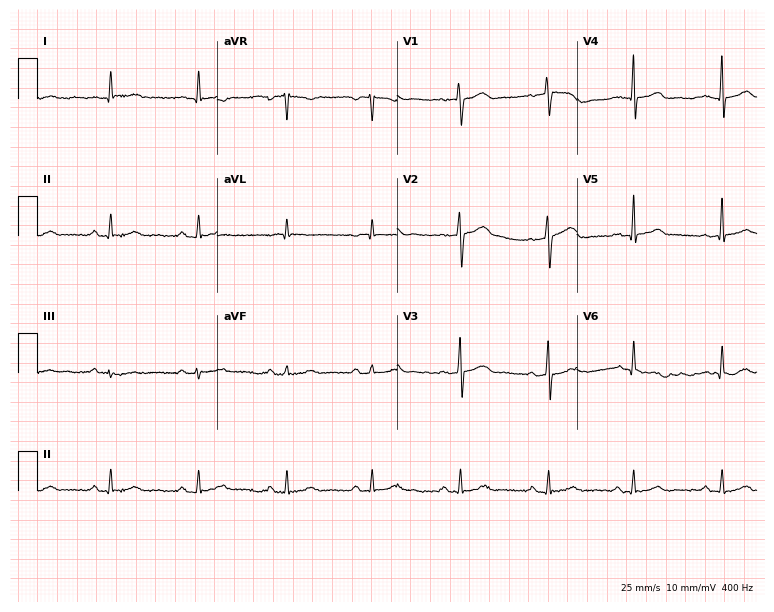
Electrocardiogram (7.3-second recording at 400 Hz), a 59-year-old male. Of the six screened findings (first-degree AV block, right bundle branch block, left bundle branch block, sinus bradycardia, atrial fibrillation, sinus tachycardia), none is recorded. Only these six findings were labelled.